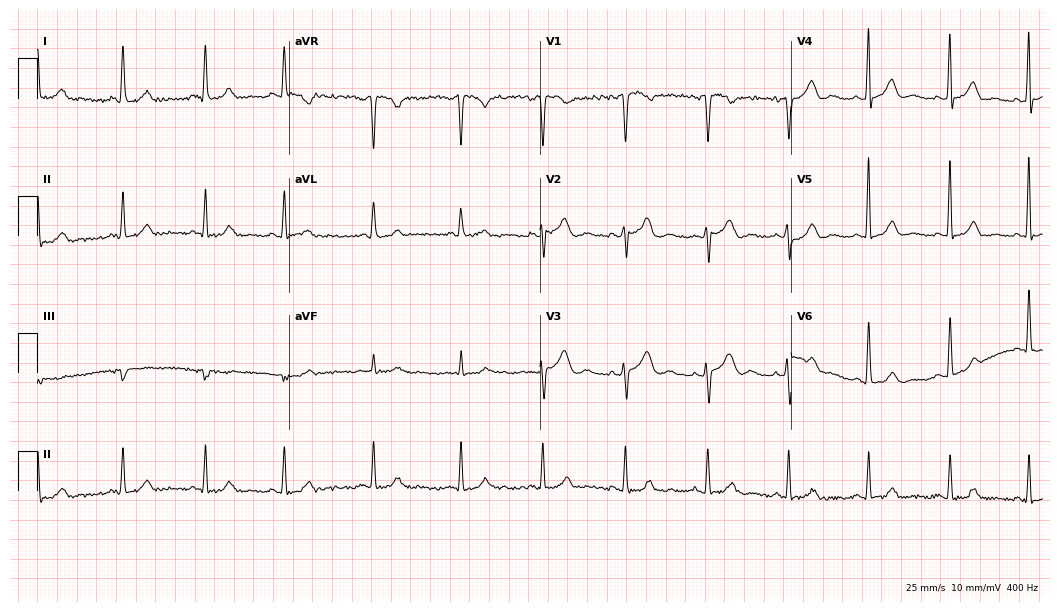
ECG — a 55-year-old female patient. Screened for six findings — first-degree AV block, right bundle branch block, left bundle branch block, sinus bradycardia, atrial fibrillation, sinus tachycardia — none is recorded.